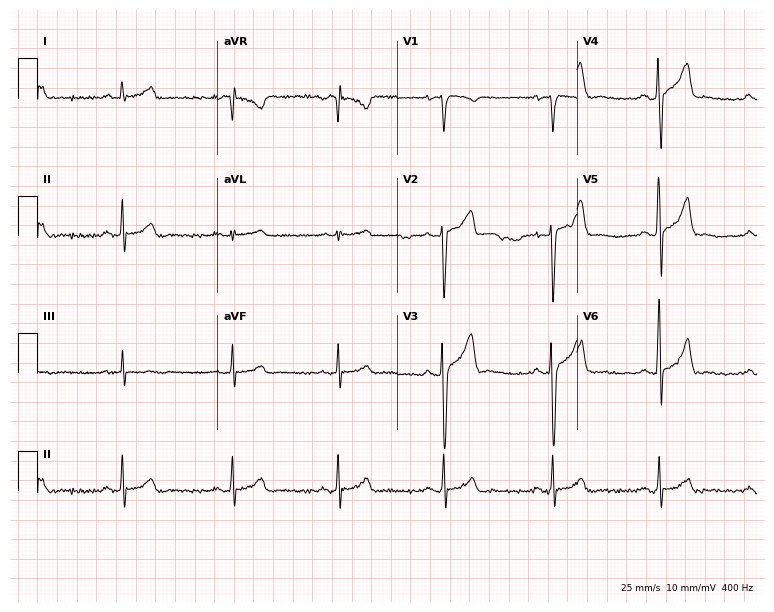
ECG (7.3-second recording at 400 Hz) — a male patient, 39 years old. Labelled as a normal ECG.